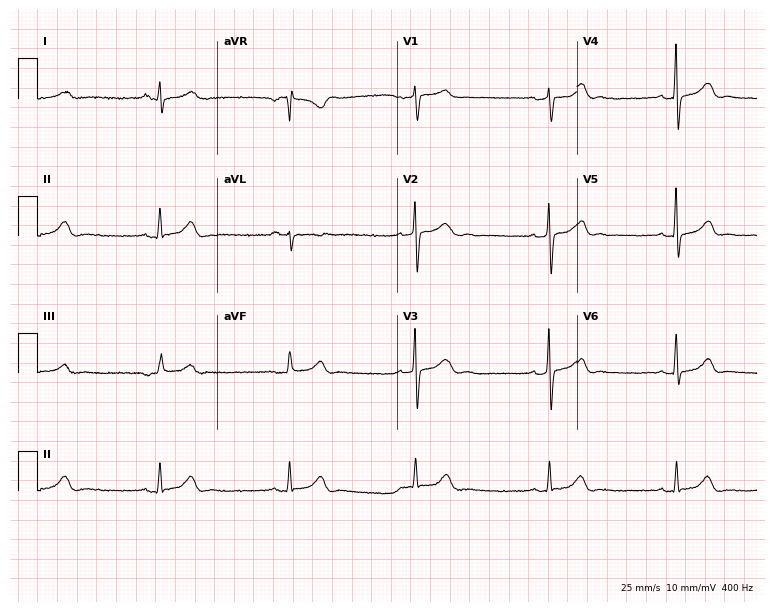
12-lead ECG from a male, 32 years old. Findings include sinus bradycardia (a sinus rate of 50 beats per minute or less).